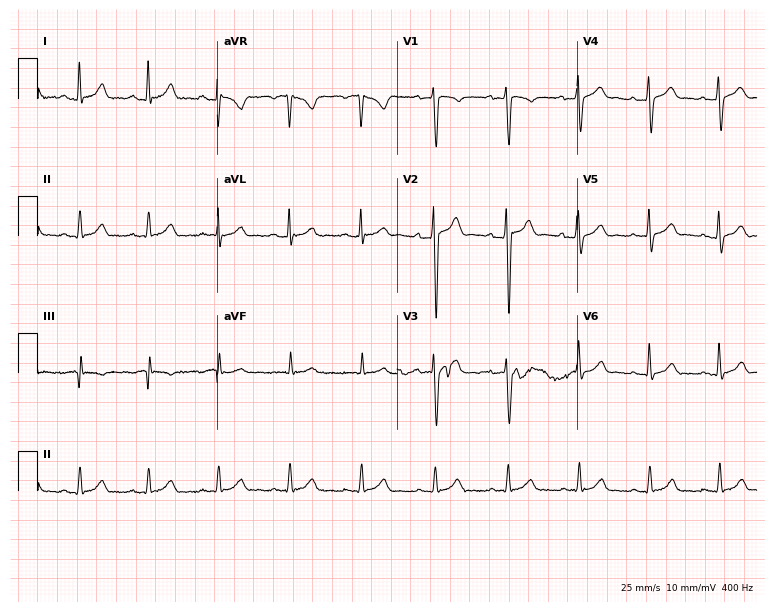
ECG (7.3-second recording at 400 Hz) — a male patient, 25 years old. Labelled as a normal ECG.